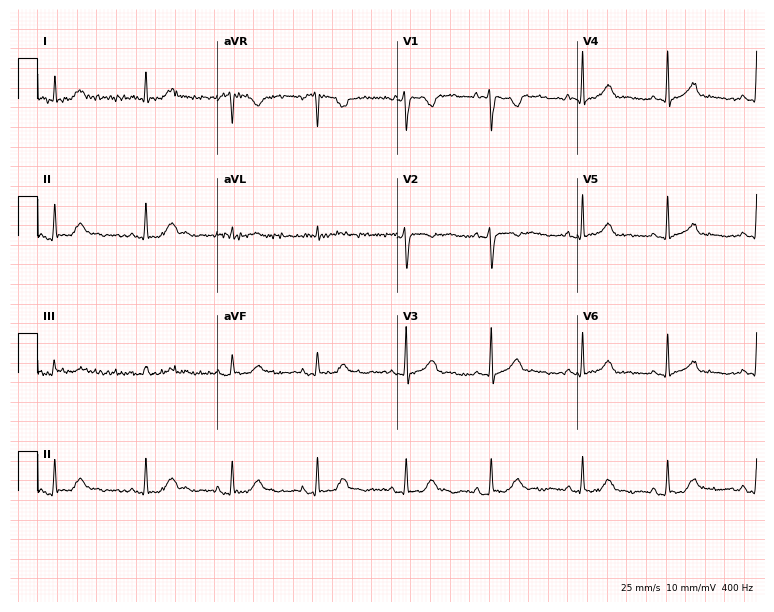
12-lead ECG from a 30-year-old woman. Labelled as a normal ECG.